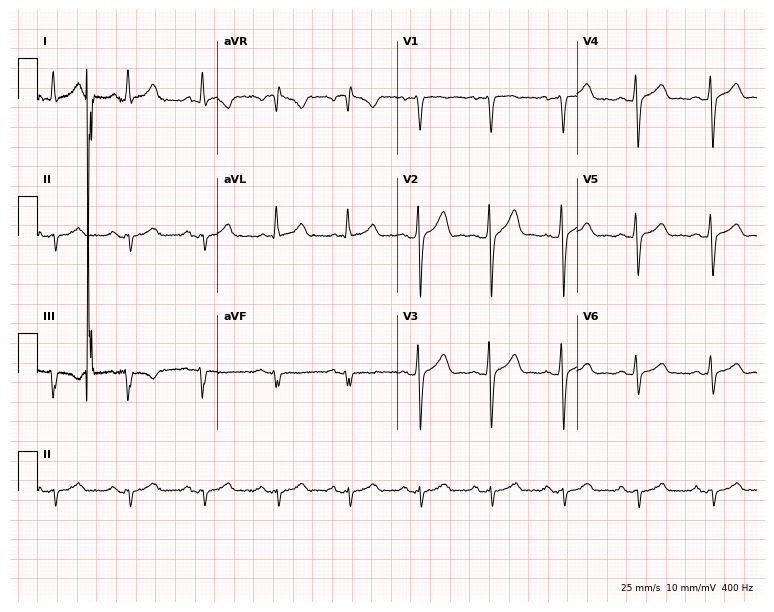
12-lead ECG from a 40-year-old male. Screened for six findings — first-degree AV block, right bundle branch block, left bundle branch block, sinus bradycardia, atrial fibrillation, sinus tachycardia — none is recorded. Only these six findings were labelled.